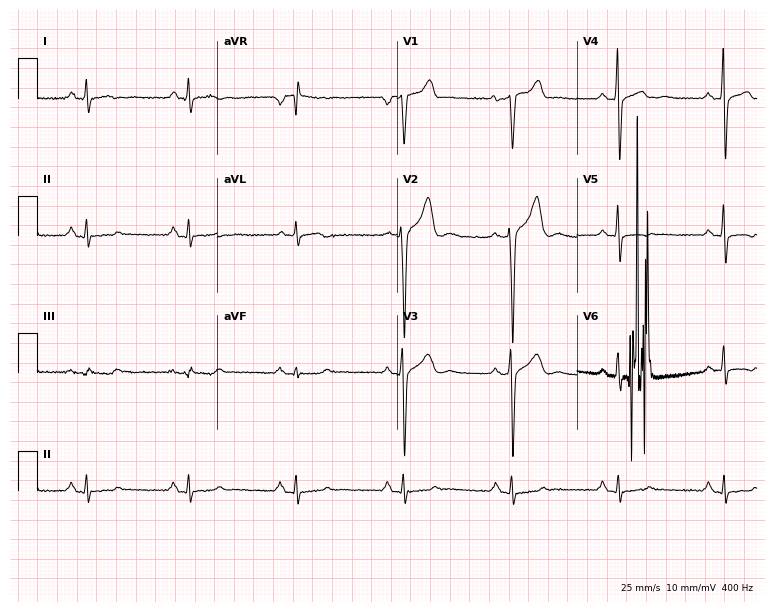
Standard 12-lead ECG recorded from a 49-year-old male (7.3-second recording at 400 Hz). None of these six findings is recorded: first-degree AV block, right bundle branch block (RBBB), left bundle branch block (LBBB), sinus bradycardia, atrial fibrillation (AF), sinus tachycardia.